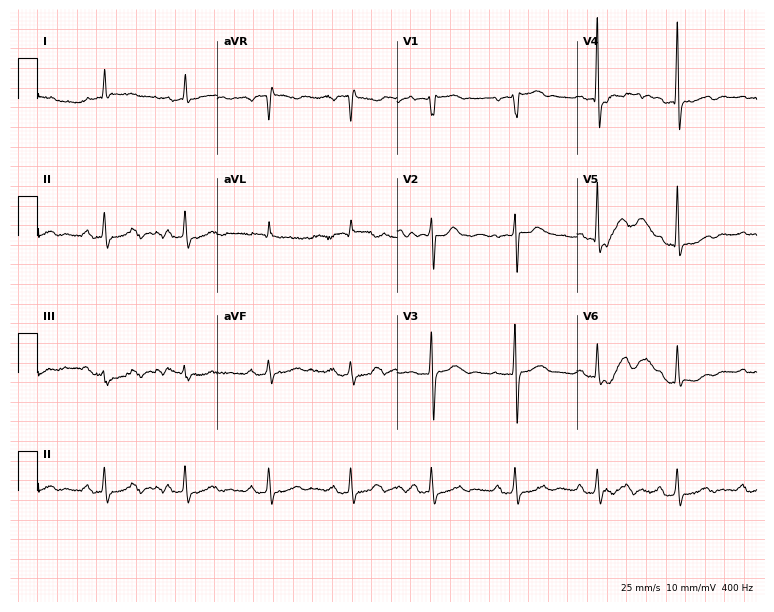
Electrocardiogram (7.3-second recording at 400 Hz), an 83-year-old male. Overall reading on record: normal ECG.